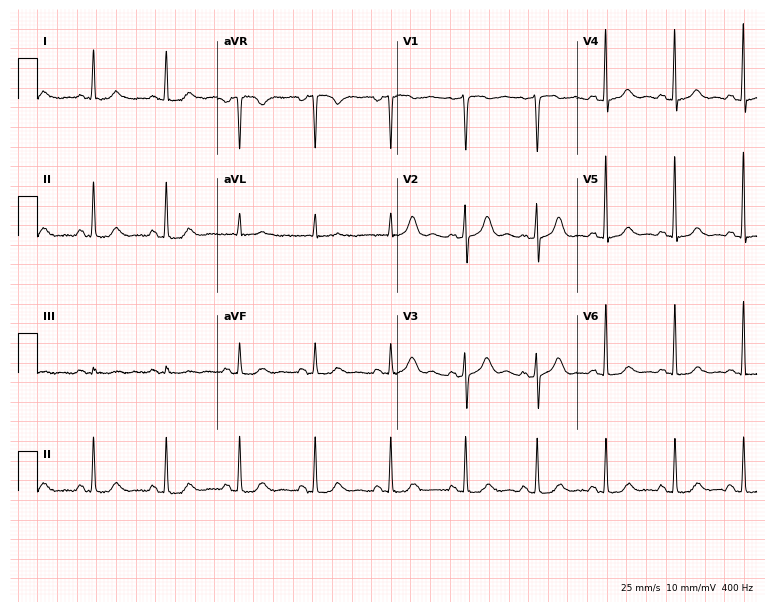
12-lead ECG (7.3-second recording at 400 Hz) from a 69-year-old female patient. Labelled as a normal ECG.